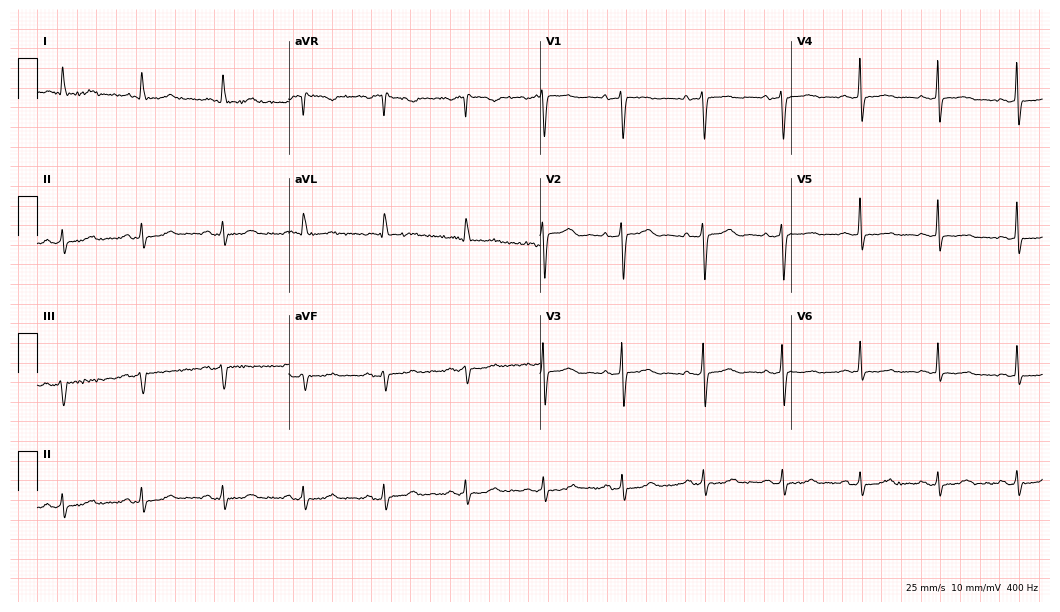
Electrocardiogram, a 78-year-old female patient. Overall reading on record: normal ECG.